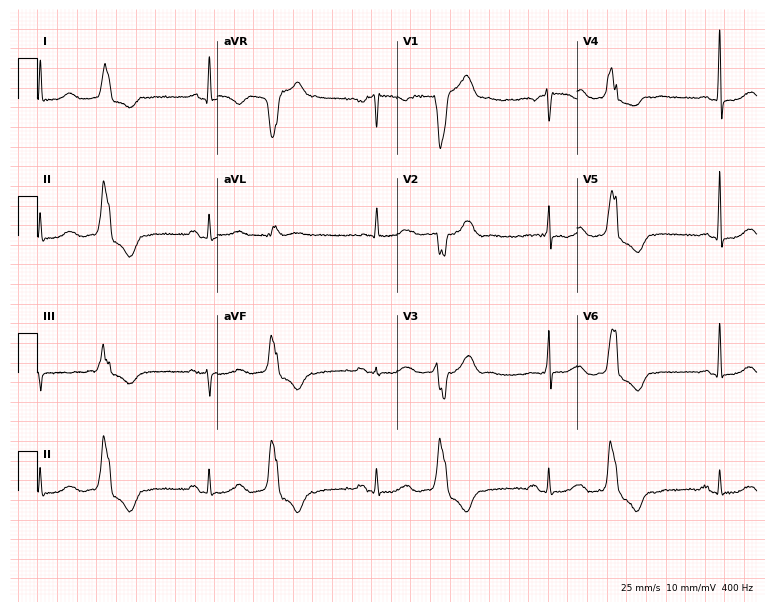
Standard 12-lead ECG recorded from a 50-year-old woman (7.3-second recording at 400 Hz). None of these six findings is recorded: first-degree AV block, right bundle branch block, left bundle branch block, sinus bradycardia, atrial fibrillation, sinus tachycardia. Other findings, if any, are not listed.